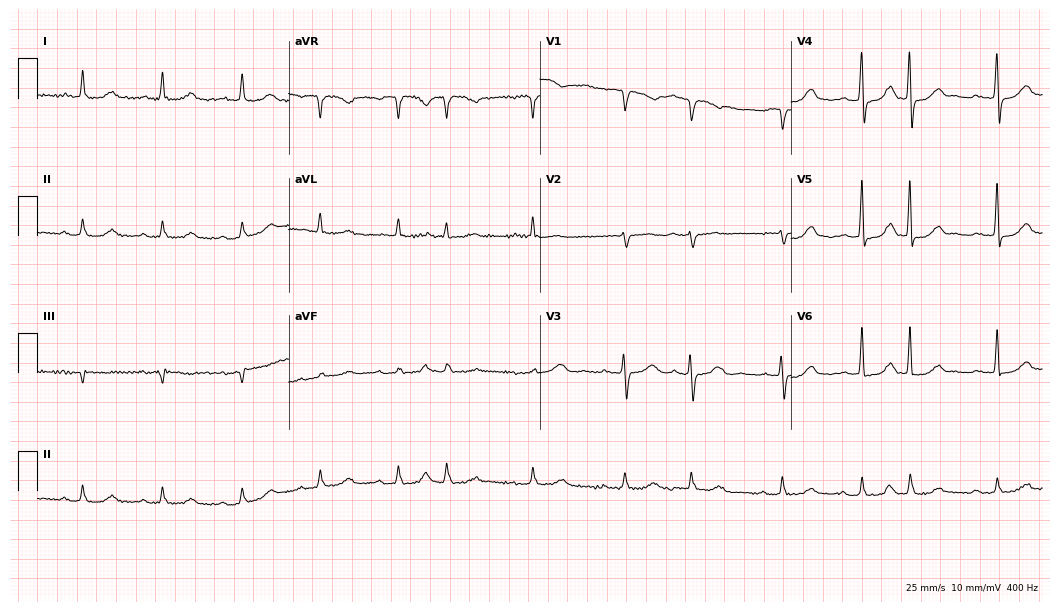
ECG — an 83-year-old woman. Screened for six findings — first-degree AV block, right bundle branch block, left bundle branch block, sinus bradycardia, atrial fibrillation, sinus tachycardia — none is recorded. Only these six findings were labelled.